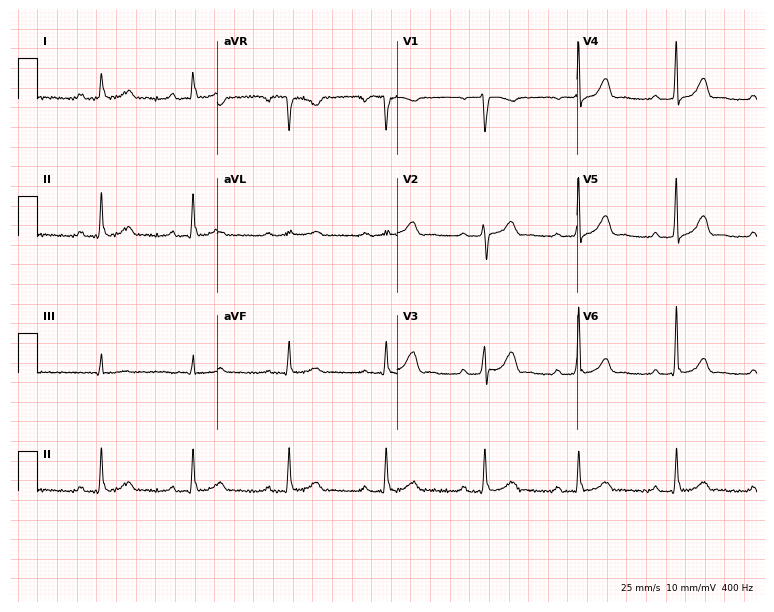
Standard 12-lead ECG recorded from a 72-year-old male patient (7.3-second recording at 400 Hz). The tracing shows first-degree AV block.